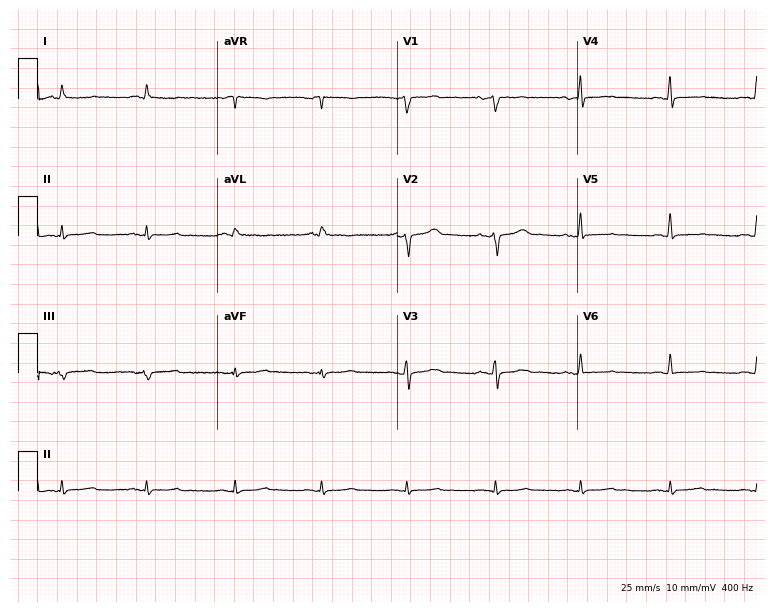
Standard 12-lead ECG recorded from a man, 68 years old (7.3-second recording at 400 Hz). Read as a normal ECG.